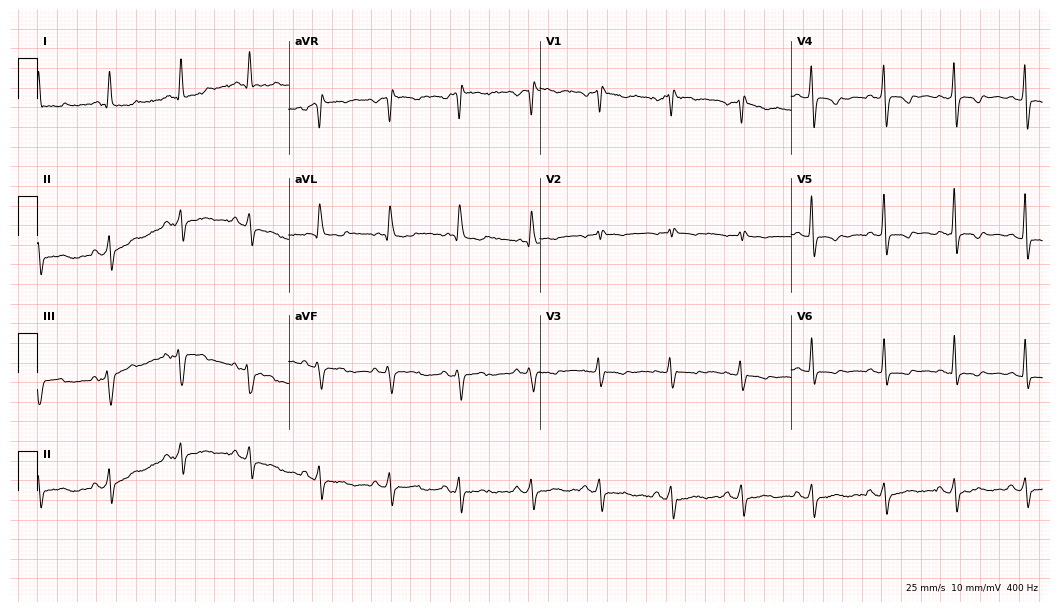
Resting 12-lead electrocardiogram (10.2-second recording at 400 Hz). Patient: a woman, 69 years old. None of these six findings is recorded: first-degree AV block, right bundle branch block (RBBB), left bundle branch block (LBBB), sinus bradycardia, atrial fibrillation (AF), sinus tachycardia. Only these six findings were labelled.